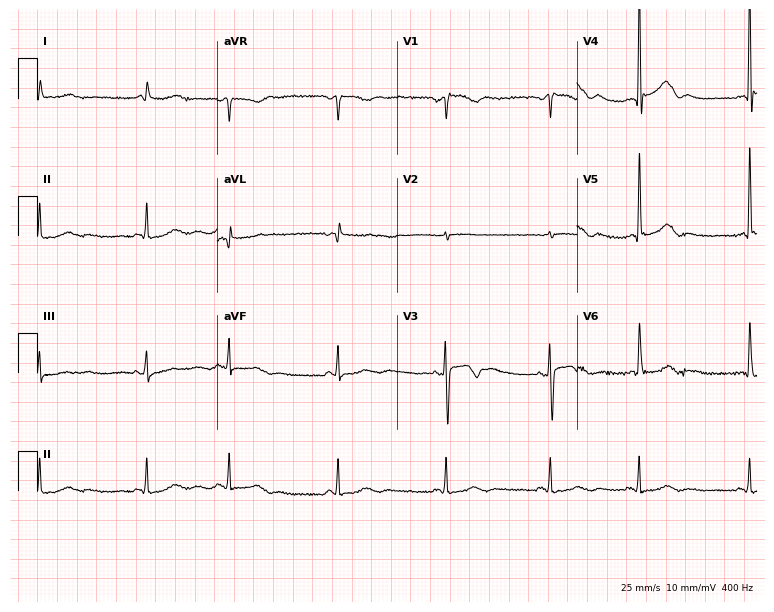
12-lead ECG from a female patient, 76 years old (7.3-second recording at 400 Hz). No first-degree AV block, right bundle branch block, left bundle branch block, sinus bradycardia, atrial fibrillation or sinus tachycardia recorded for this tracing.